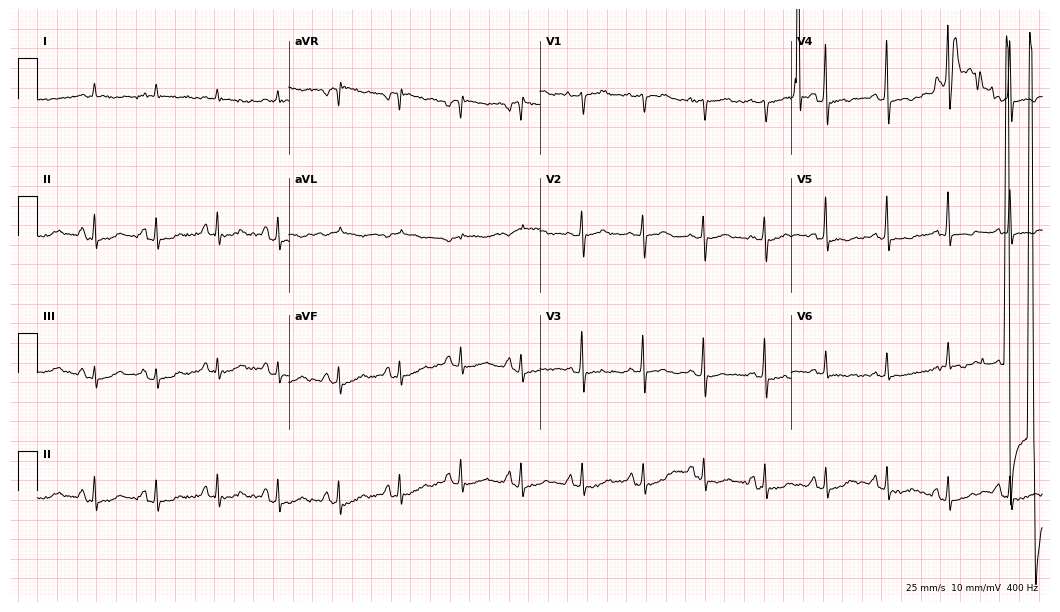
ECG (10.2-second recording at 400 Hz) — a male, 83 years old. Screened for six findings — first-degree AV block, right bundle branch block, left bundle branch block, sinus bradycardia, atrial fibrillation, sinus tachycardia — none is recorded. Findings outside these six are not listed.